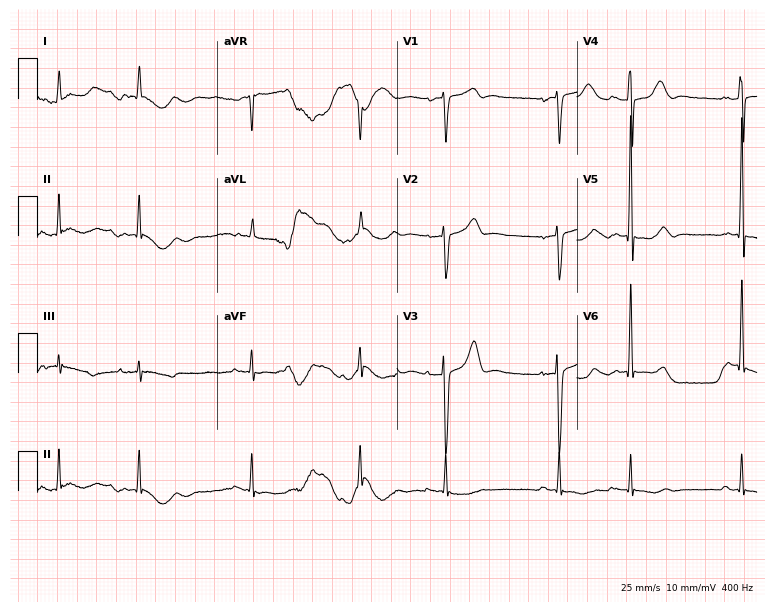
ECG (7.3-second recording at 400 Hz) — a 71-year-old man. Screened for six findings — first-degree AV block, right bundle branch block (RBBB), left bundle branch block (LBBB), sinus bradycardia, atrial fibrillation (AF), sinus tachycardia — none is recorded. Other findings, if any, are not listed.